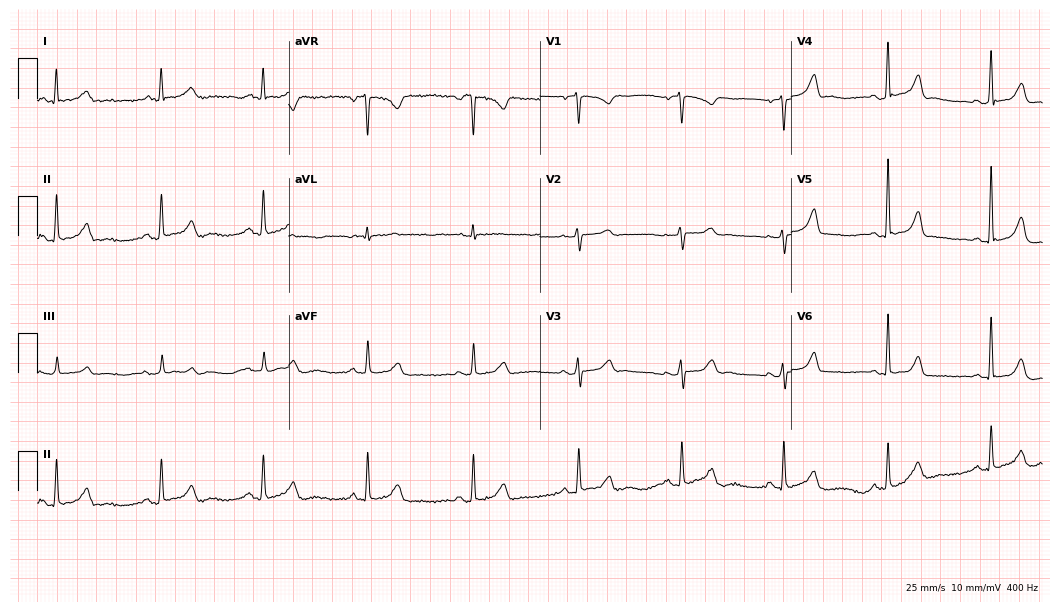
12-lead ECG from a female patient, 65 years old. Recorded interpretation: within normal limits.